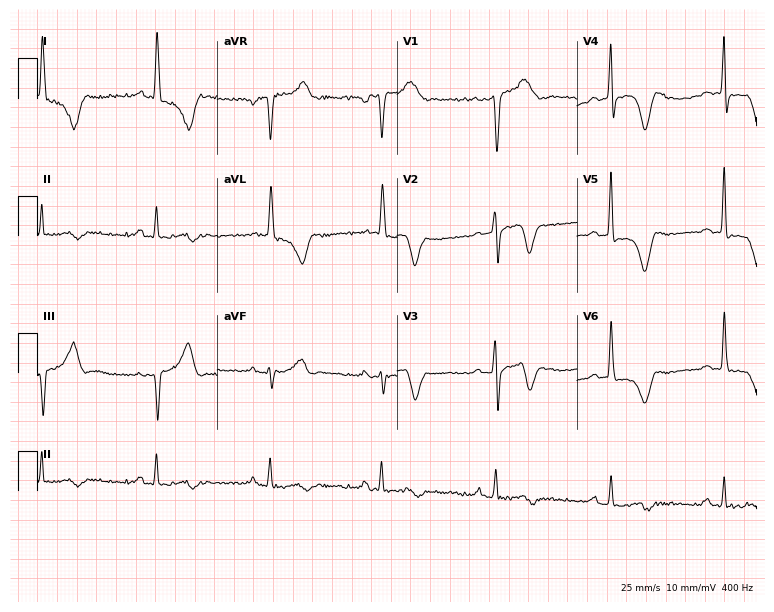
Electrocardiogram (7.3-second recording at 400 Hz), a male, 51 years old. Of the six screened findings (first-degree AV block, right bundle branch block, left bundle branch block, sinus bradycardia, atrial fibrillation, sinus tachycardia), none is recorded. Only these six findings were labelled.